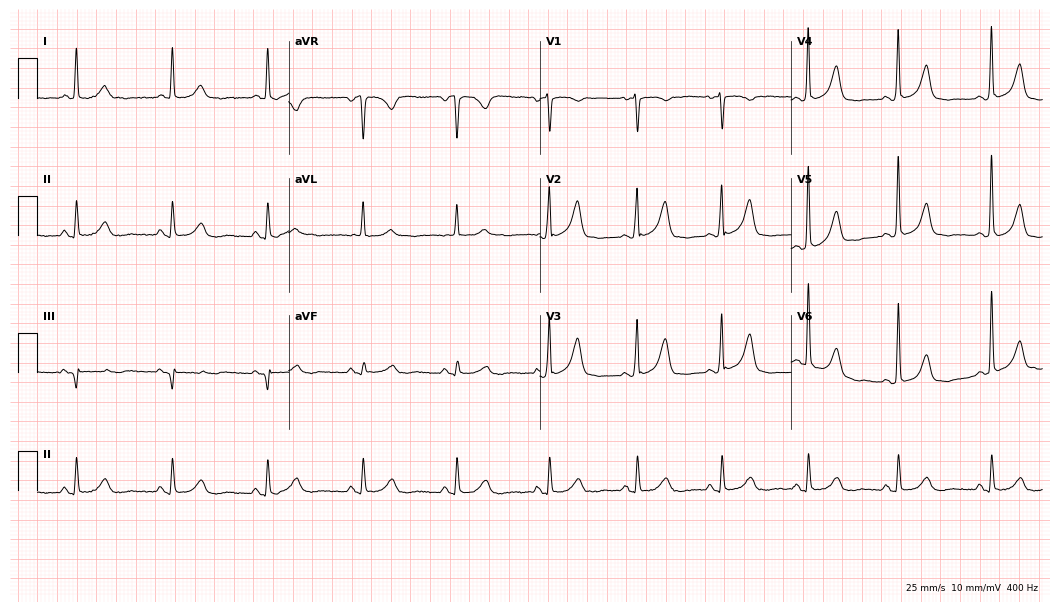
12-lead ECG (10.2-second recording at 400 Hz) from a female, 80 years old. Screened for six findings — first-degree AV block, right bundle branch block (RBBB), left bundle branch block (LBBB), sinus bradycardia, atrial fibrillation (AF), sinus tachycardia — none is recorded.